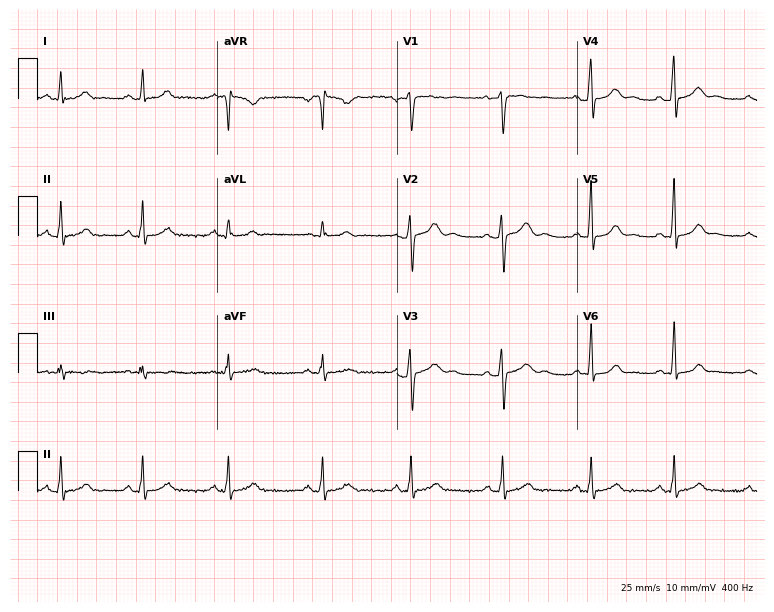
Resting 12-lead electrocardiogram (7.3-second recording at 400 Hz). Patient: a 25-year-old female. None of these six findings is recorded: first-degree AV block, right bundle branch block, left bundle branch block, sinus bradycardia, atrial fibrillation, sinus tachycardia.